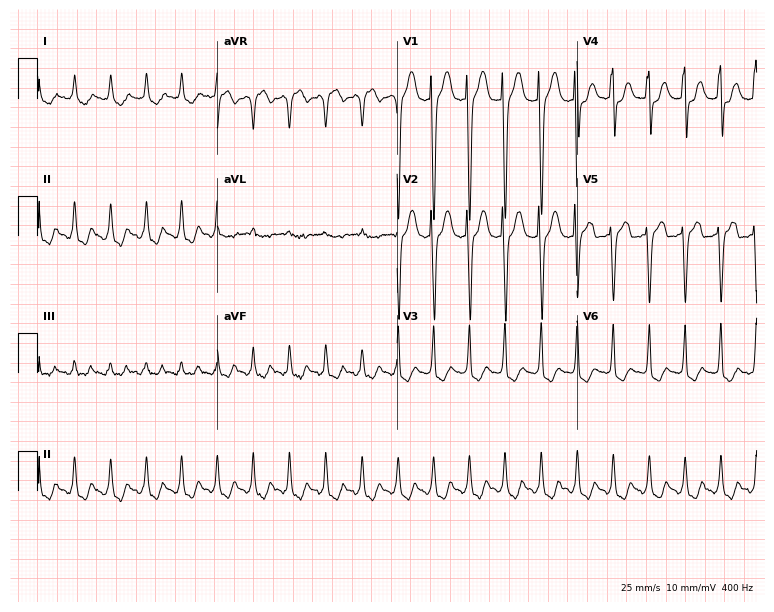
12-lead ECG from a 66-year-old female. Screened for six findings — first-degree AV block, right bundle branch block, left bundle branch block, sinus bradycardia, atrial fibrillation, sinus tachycardia — none is recorded.